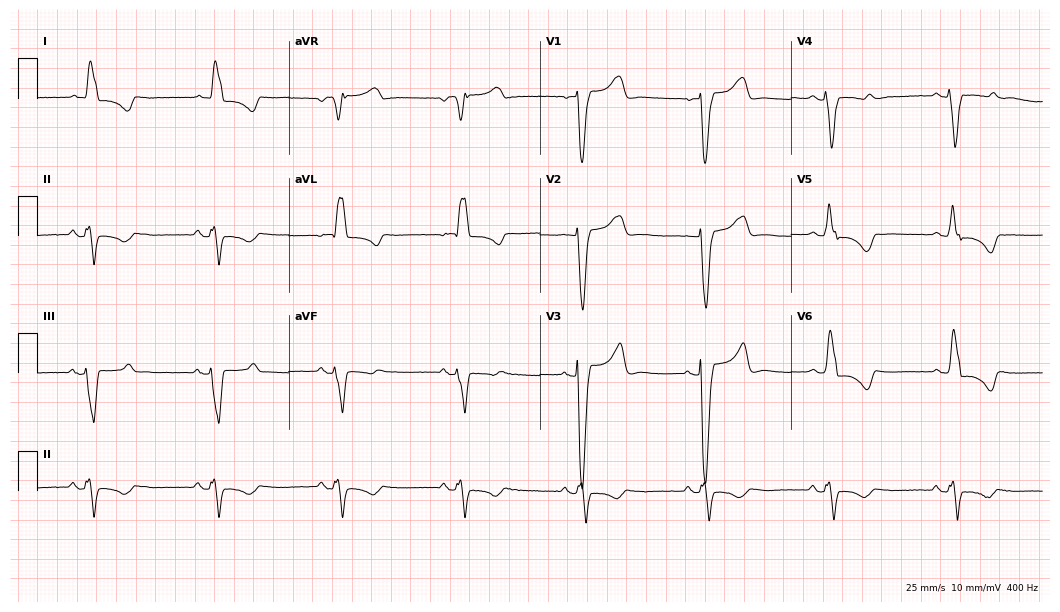
ECG (10.2-second recording at 400 Hz) — an 81-year-old woman. Screened for six findings — first-degree AV block, right bundle branch block, left bundle branch block, sinus bradycardia, atrial fibrillation, sinus tachycardia — none is recorded.